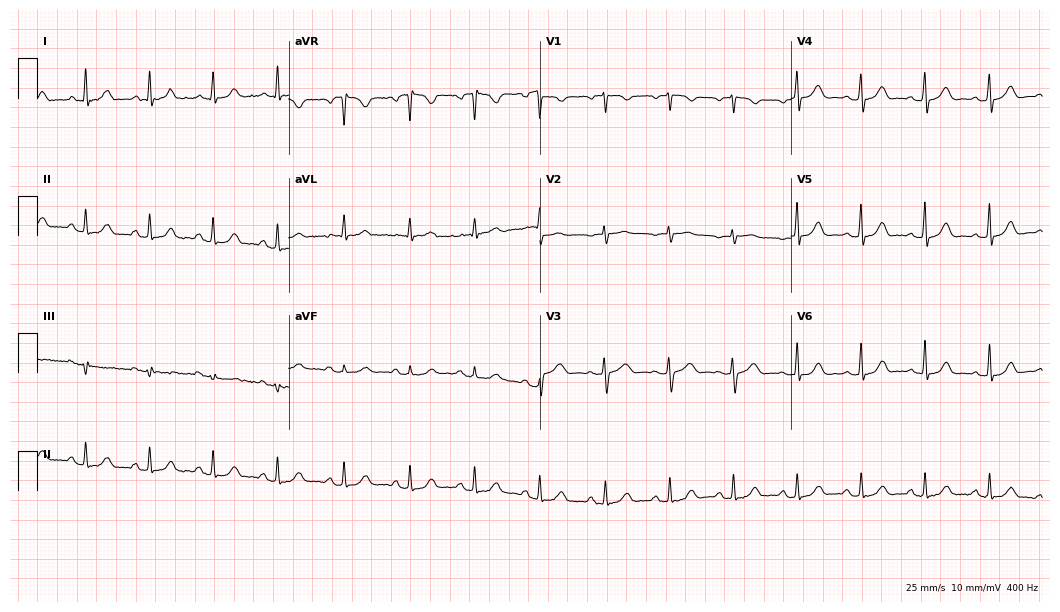
12-lead ECG from a 37-year-old female patient. Labelled as a normal ECG.